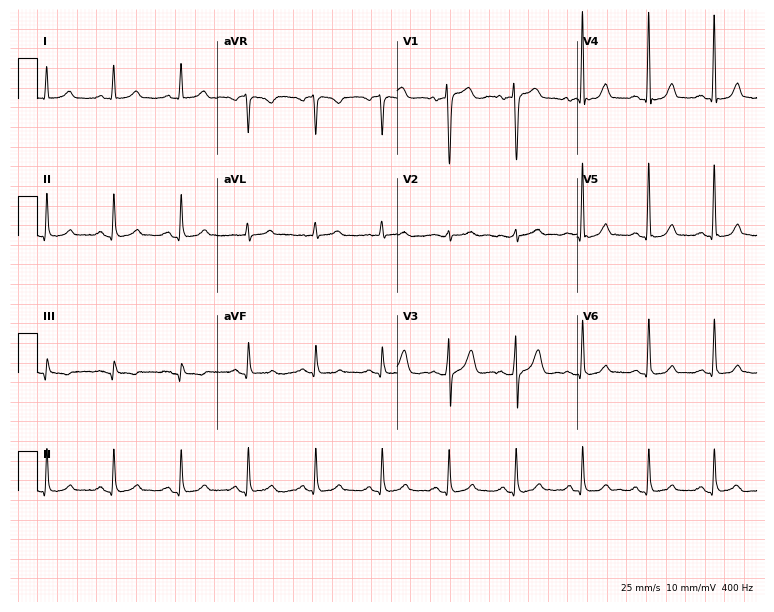
Standard 12-lead ECG recorded from a female, 69 years old (7.3-second recording at 400 Hz). Read as a normal ECG.